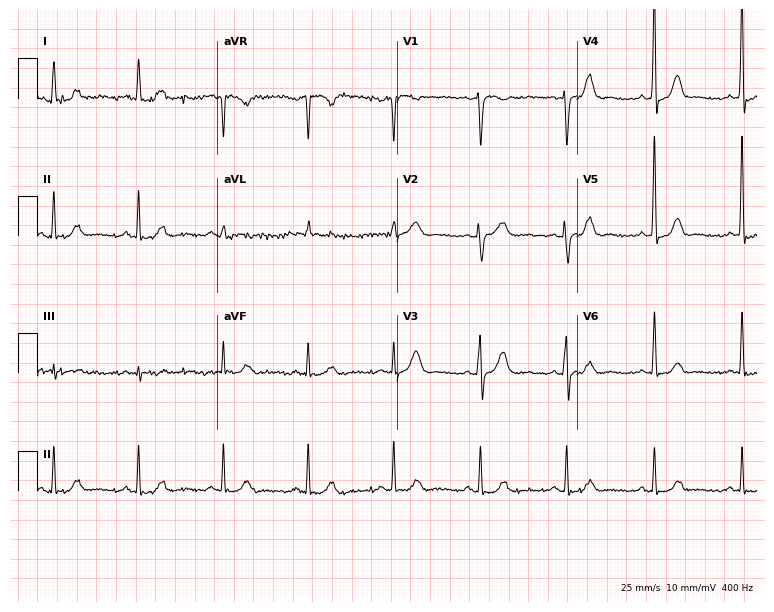
Electrocardiogram, a 58-year-old woman. Of the six screened findings (first-degree AV block, right bundle branch block, left bundle branch block, sinus bradycardia, atrial fibrillation, sinus tachycardia), none is recorded.